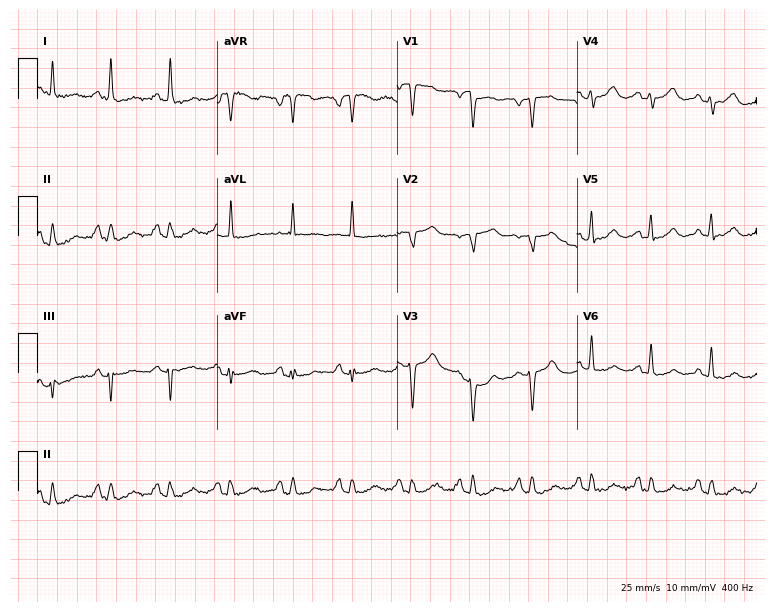
Standard 12-lead ECG recorded from a female patient, 59 years old. None of these six findings is recorded: first-degree AV block, right bundle branch block, left bundle branch block, sinus bradycardia, atrial fibrillation, sinus tachycardia. Only these six findings were labelled.